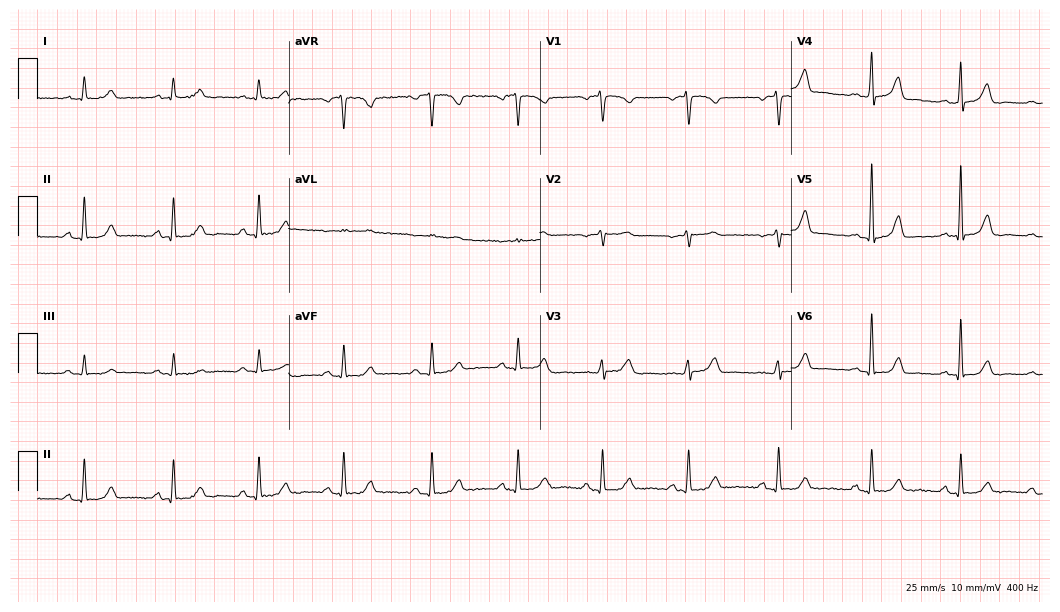
Electrocardiogram, a female, 61 years old. Overall reading on record: normal ECG.